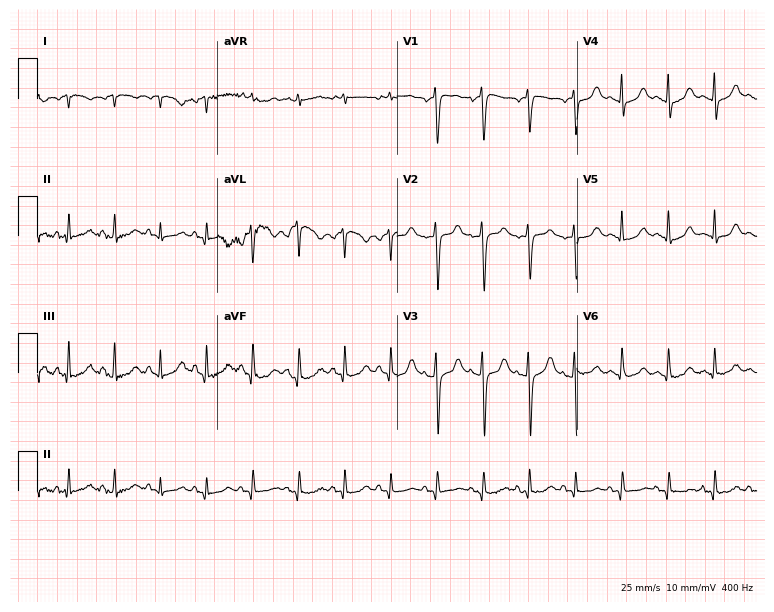
12-lead ECG from a female patient, 38 years old. Shows sinus tachycardia (a sinus rate of 100 beats per minute or more).